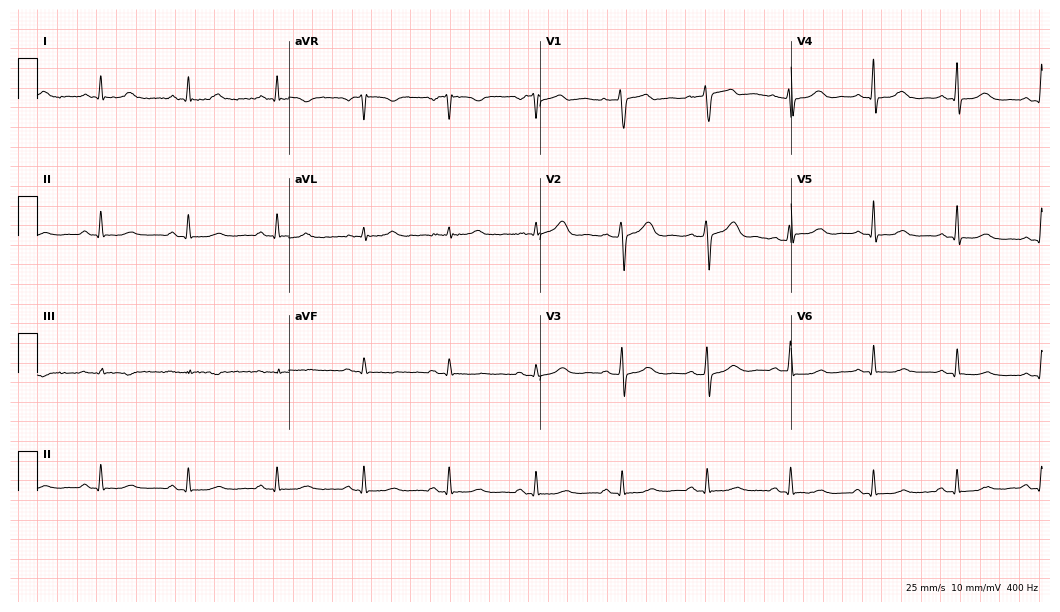
Electrocardiogram (10.2-second recording at 400 Hz), a 49-year-old female patient. Overall reading on record: normal ECG.